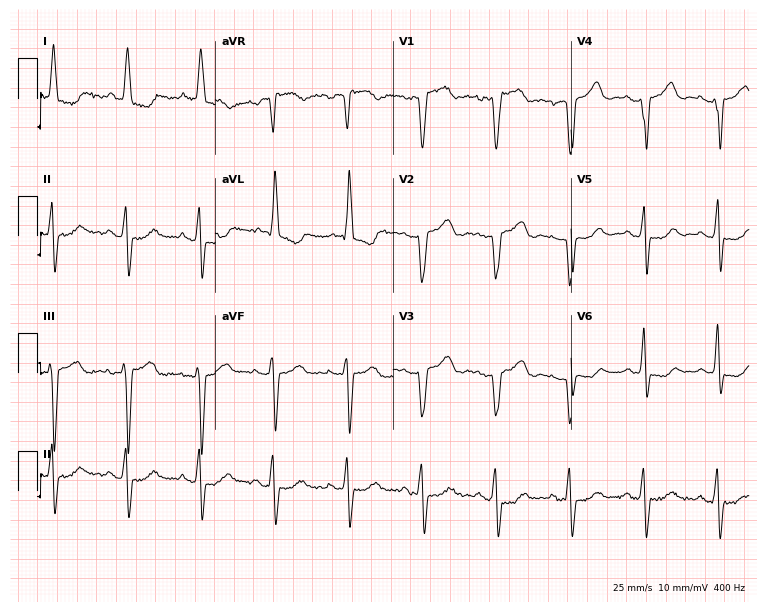
12-lead ECG from an 85-year-old female patient. Shows left bundle branch block (LBBB).